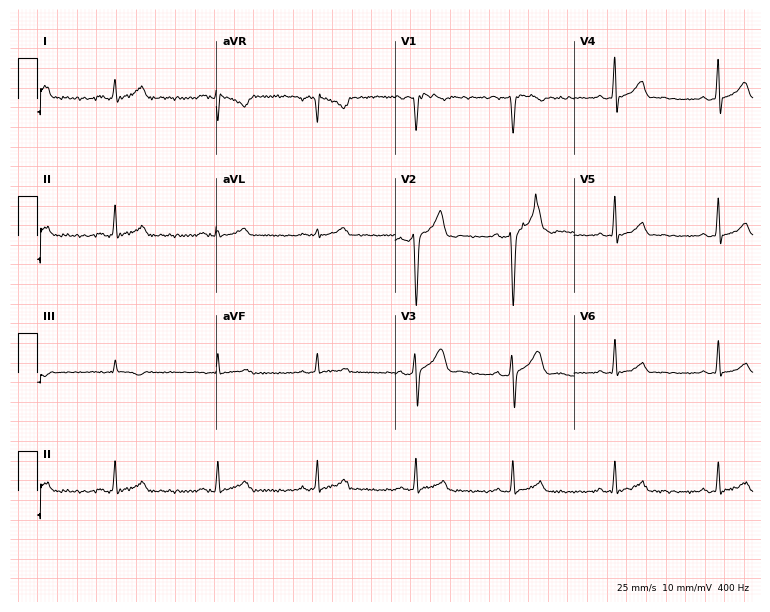
12-lead ECG from a male, 42 years old (7.3-second recording at 400 Hz). Recorded interpretation: within normal limits.